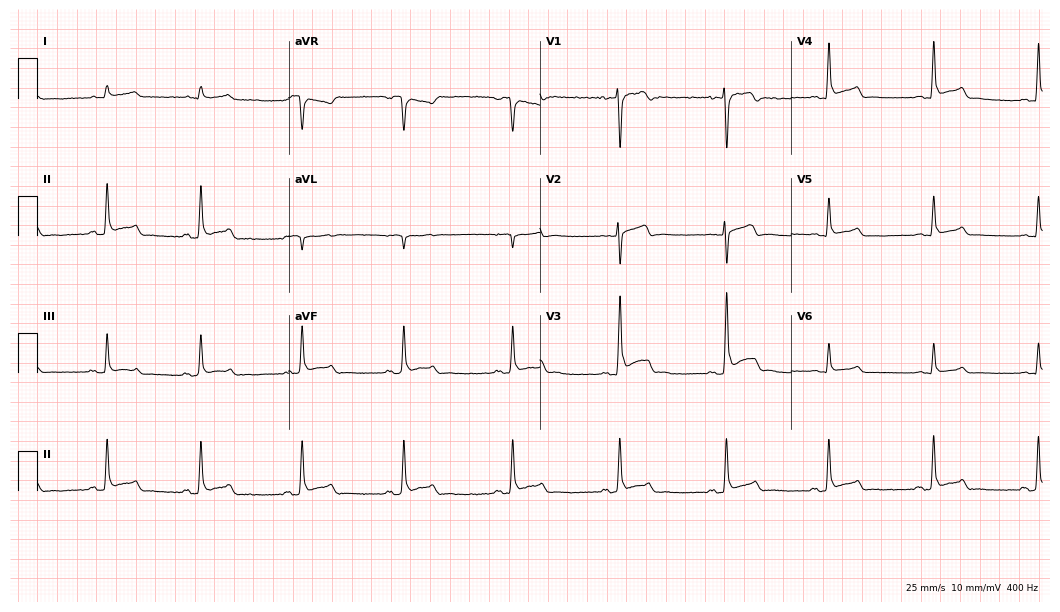
ECG (10.2-second recording at 400 Hz) — a male, 23 years old. Screened for six findings — first-degree AV block, right bundle branch block (RBBB), left bundle branch block (LBBB), sinus bradycardia, atrial fibrillation (AF), sinus tachycardia — none is recorded. Other findings, if any, are not listed.